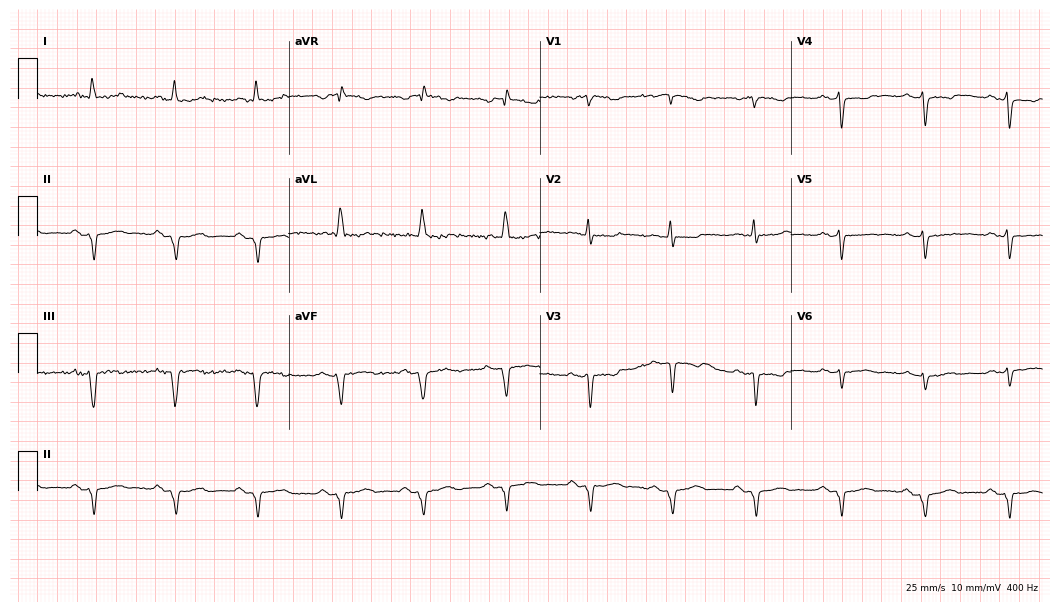
Standard 12-lead ECG recorded from a female, 61 years old (10.2-second recording at 400 Hz). None of these six findings is recorded: first-degree AV block, right bundle branch block, left bundle branch block, sinus bradycardia, atrial fibrillation, sinus tachycardia.